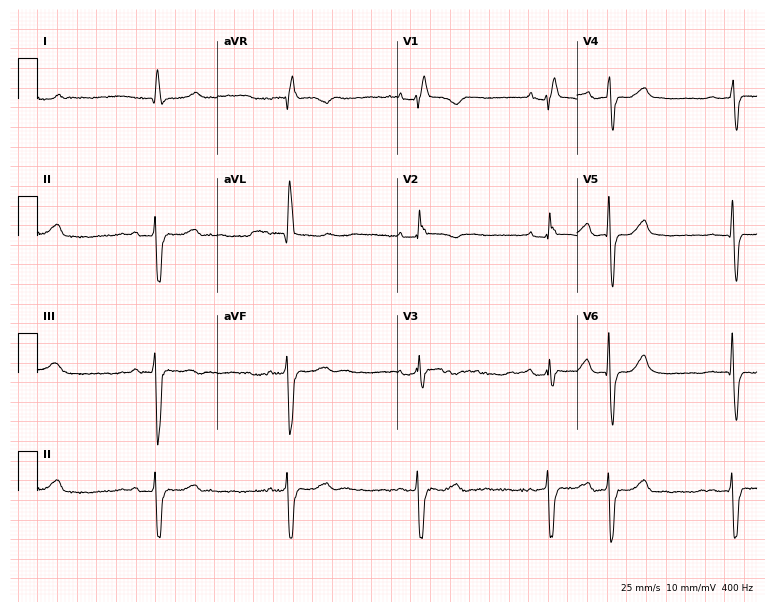
12-lead ECG from a female, 82 years old. Findings include right bundle branch block.